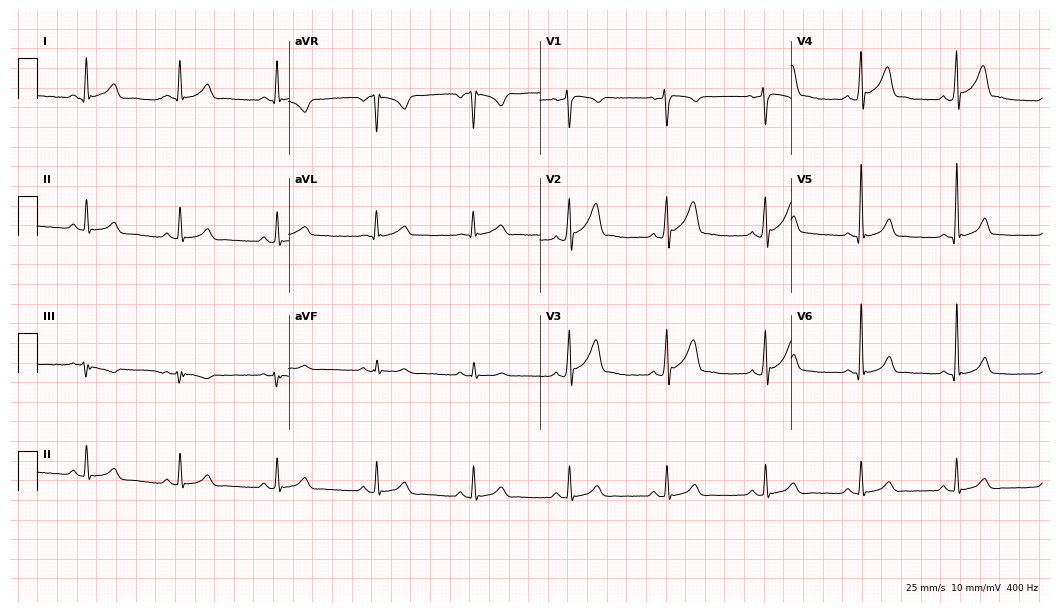
ECG — a 43-year-old male. Labelled as a normal ECG.